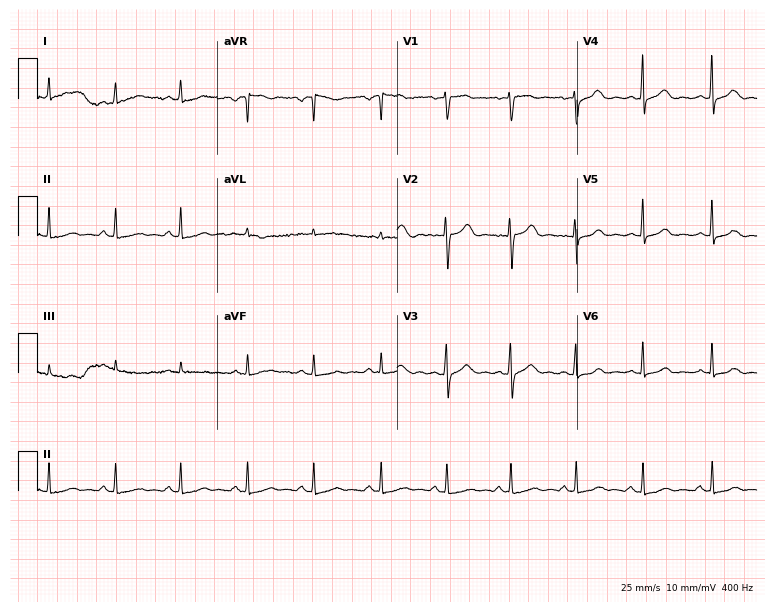
12-lead ECG from a 37-year-old female patient (7.3-second recording at 400 Hz). No first-degree AV block, right bundle branch block, left bundle branch block, sinus bradycardia, atrial fibrillation or sinus tachycardia recorded for this tracing.